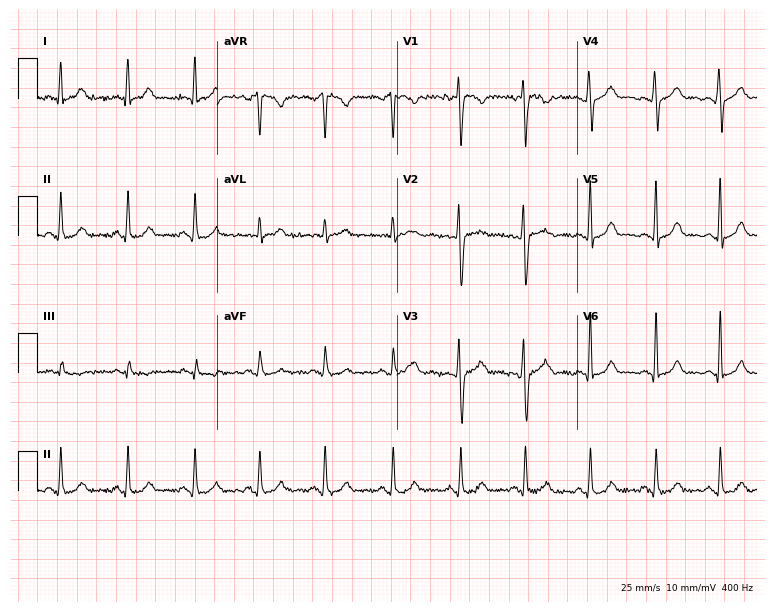
12-lead ECG from a 26-year-old woman. Recorded interpretation: within normal limits.